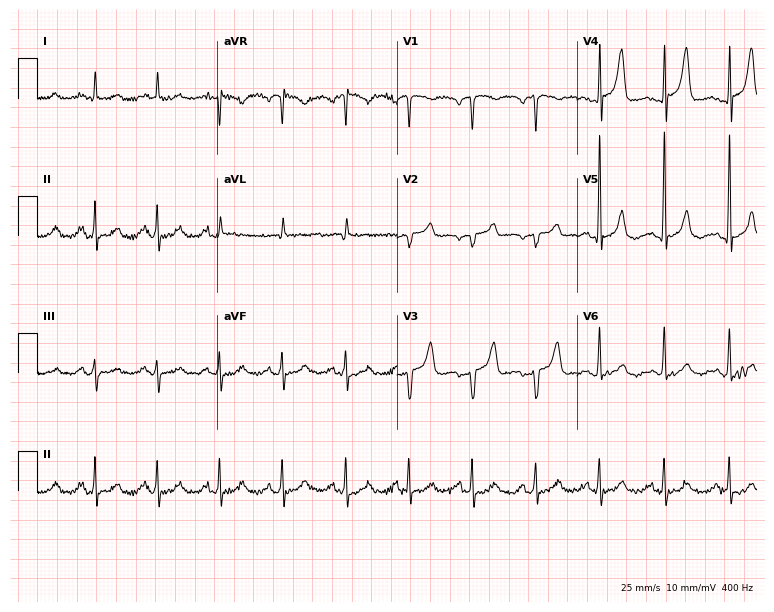
Standard 12-lead ECG recorded from a 67-year-old male patient. None of these six findings is recorded: first-degree AV block, right bundle branch block, left bundle branch block, sinus bradycardia, atrial fibrillation, sinus tachycardia. Findings outside these six are not listed.